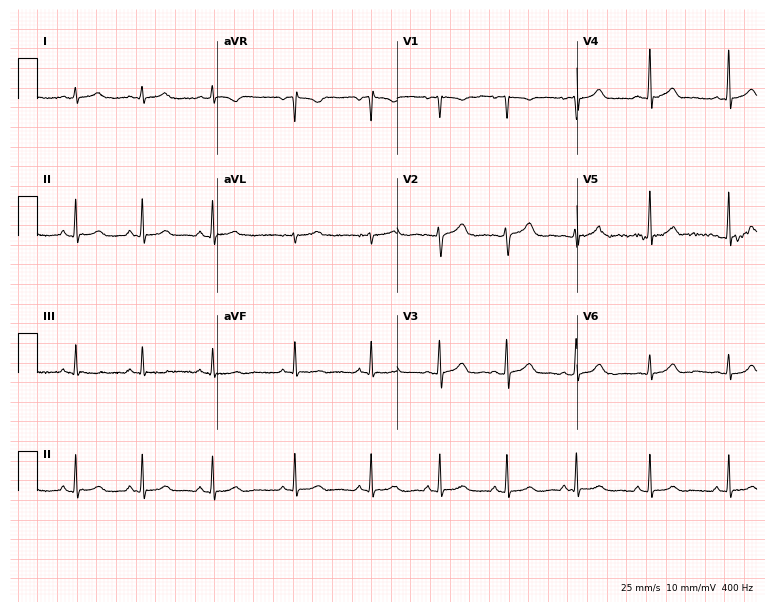
12-lead ECG from a female patient, 23 years old. No first-degree AV block, right bundle branch block, left bundle branch block, sinus bradycardia, atrial fibrillation or sinus tachycardia recorded for this tracing.